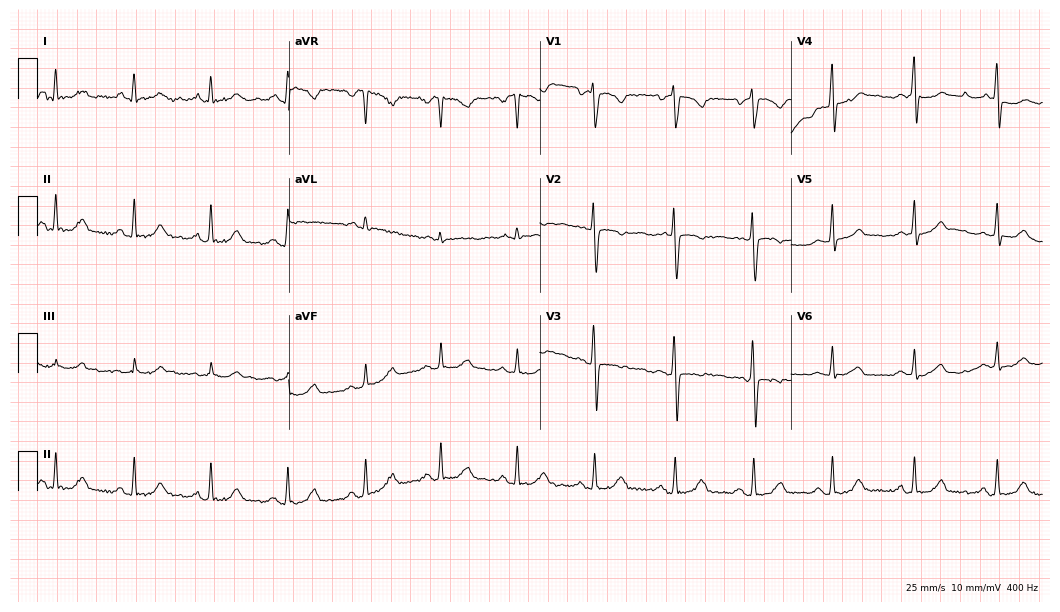
Standard 12-lead ECG recorded from a female patient, 54 years old (10.2-second recording at 400 Hz). None of these six findings is recorded: first-degree AV block, right bundle branch block, left bundle branch block, sinus bradycardia, atrial fibrillation, sinus tachycardia. Only these six findings were labelled.